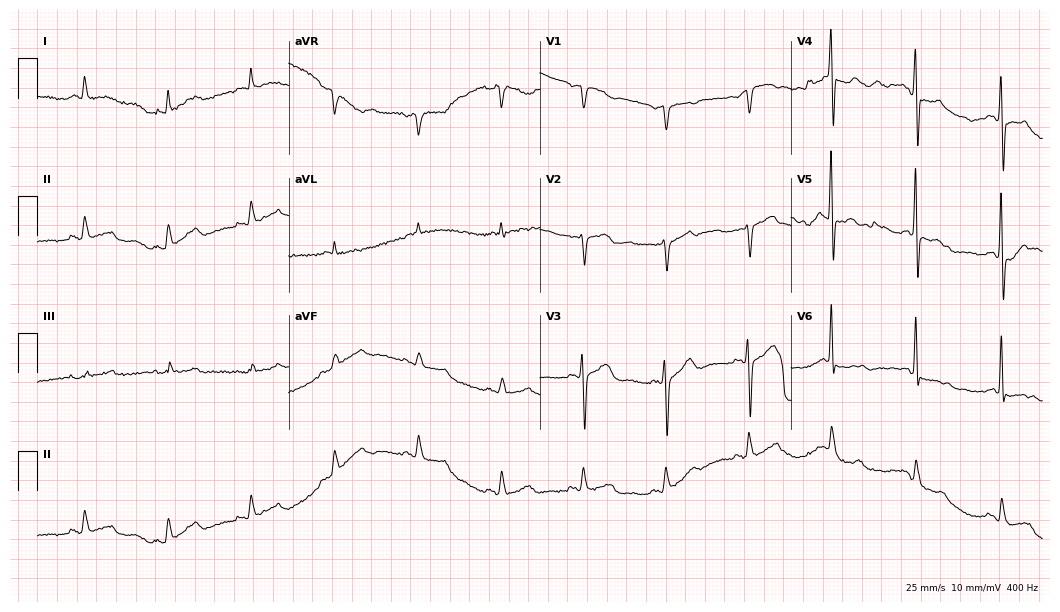
12-lead ECG from a 65-year-old male patient (10.2-second recording at 400 Hz). No first-degree AV block, right bundle branch block, left bundle branch block, sinus bradycardia, atrial fibrillation or sinus tachycardia recorded for this tracing. Only these six findings were labelled.